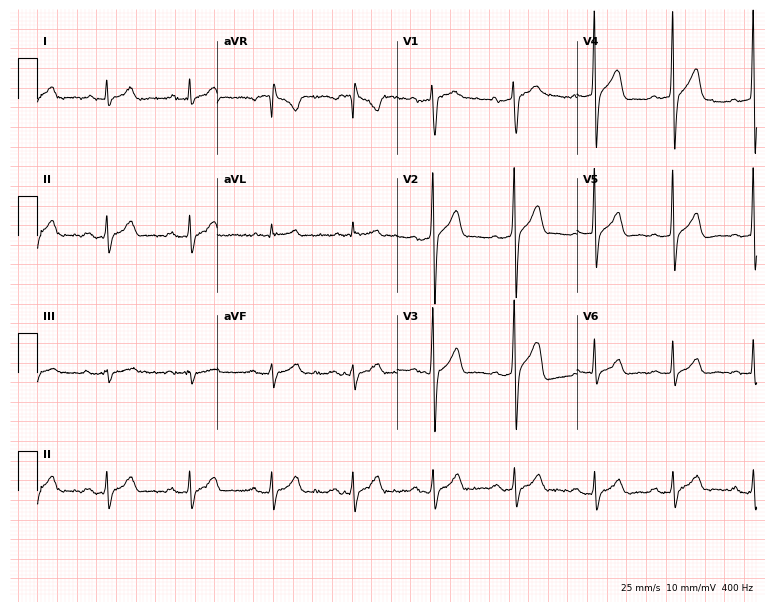
12-lead ECG from a male patient, 34 years old. Screened for six findings — first-degree AV block, right bundle branch block, left bundle branch block, sinus bradycardia, atrial fibrillation, sinus tachycardia — none is recorded. Findings outside these six are not listed.